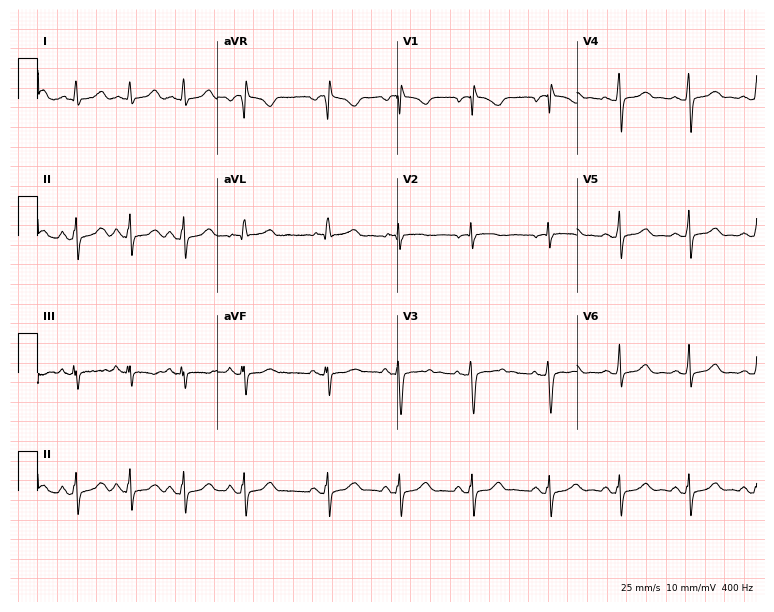
Electrocardiogram, a male, 19 years old. Overall reading on record: normal ECG.